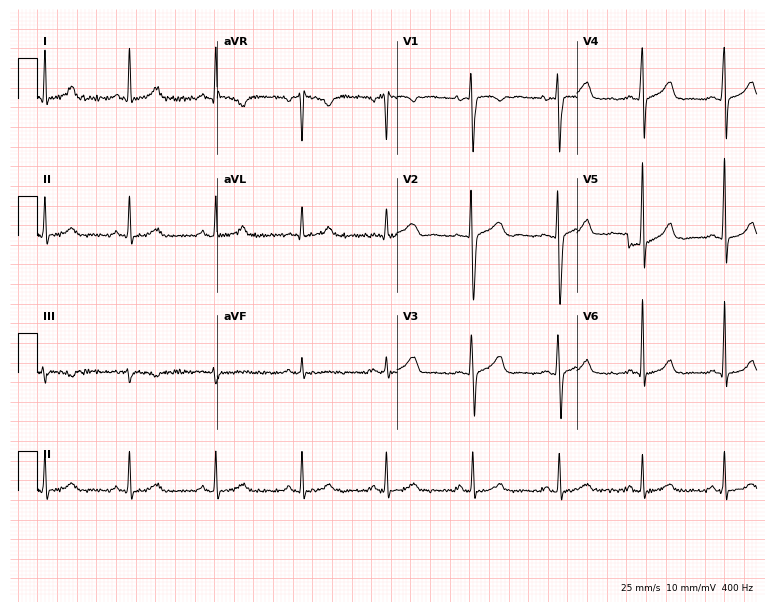
Electrocardiogram, a 33-year-old female patient. Of the six screened findings (first-degree AV block, right bundle branch block, left bundle branch block, sinus bradycardia, atrial fibrillation, sinus tachycardia), none is recorded. Only these six findings were labelled.